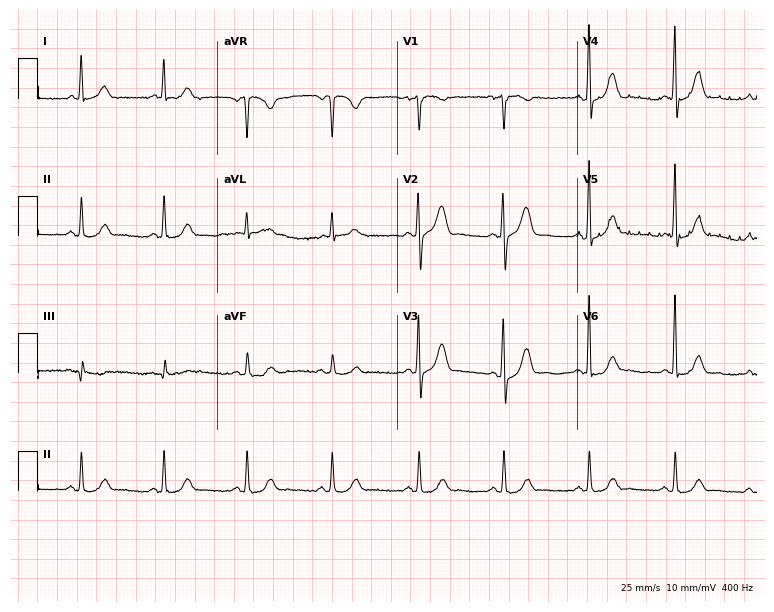
12-lead ECG from a female patient, 68 years old. Recorded interpretation: within normal limits.